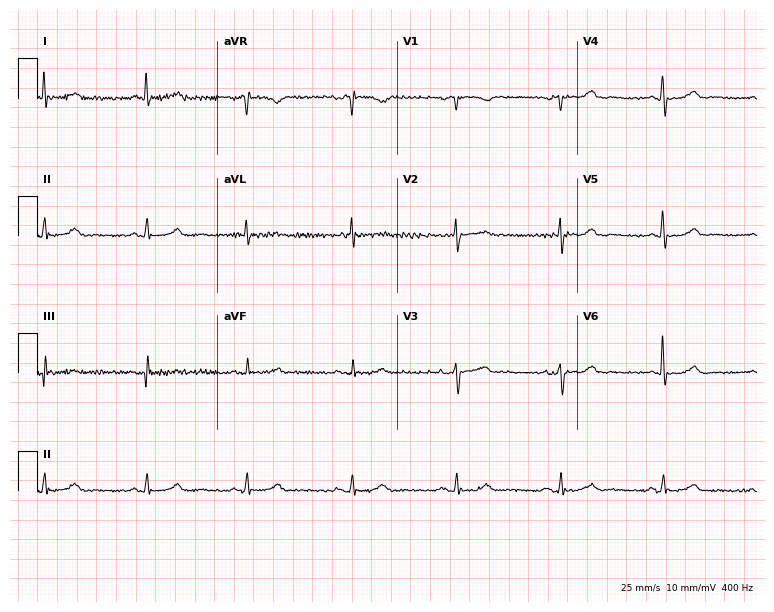
12-lead ECG (7.3-second recording at 400 Hz) from a man, 81 years old. Labelled as a normal ECG.